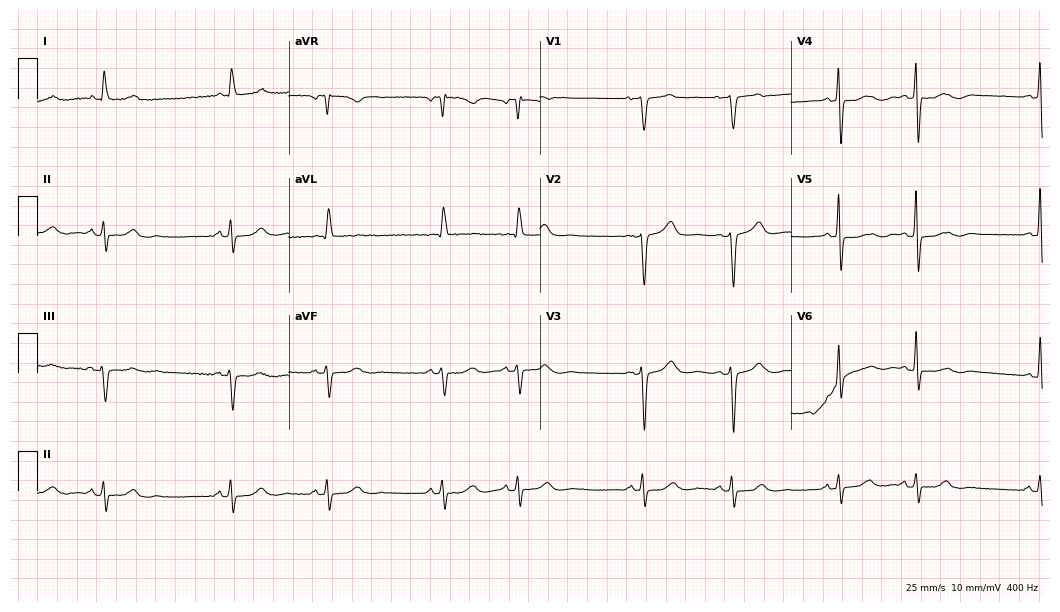
12-lead ECG (10.2-second recording at 400 Hz) from a woman, 78 years old. Screened for six findings — first-degree AV block, right bundle branch block (RBBB), left bundle branch block (LBBB), sinus bradycardia, atrial fibrillation (AF), sinus tachycardia — none is recorded.